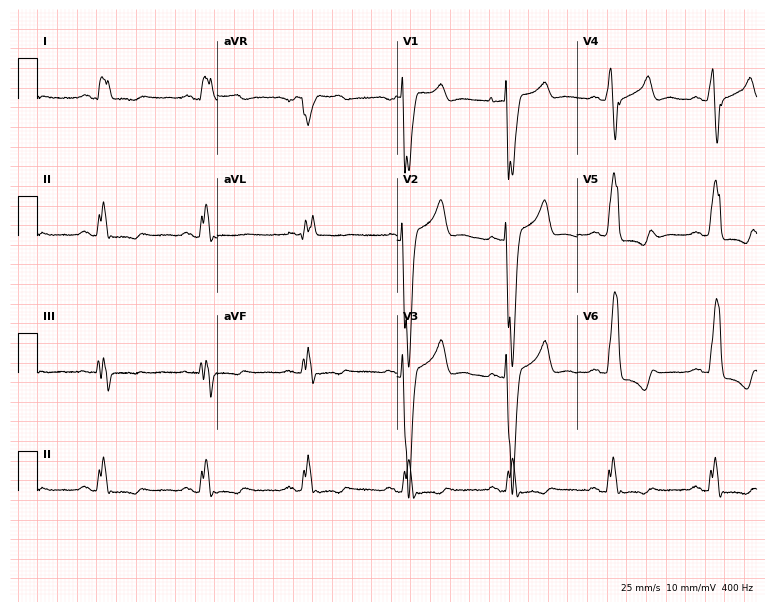
12-lead ECG from a female patient, 53 years old (7.3-second recording at 400 Hz). Shows left bundle branch block (LBBB).